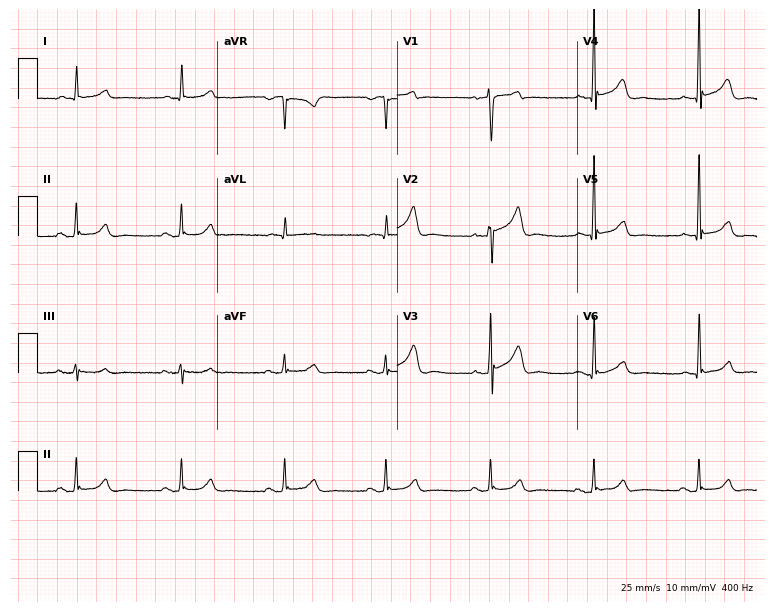
Standard 12-lead ECG recorded from a male, 64 years old (7.3-second recording at 400 Hz). Read as a normal ECG.